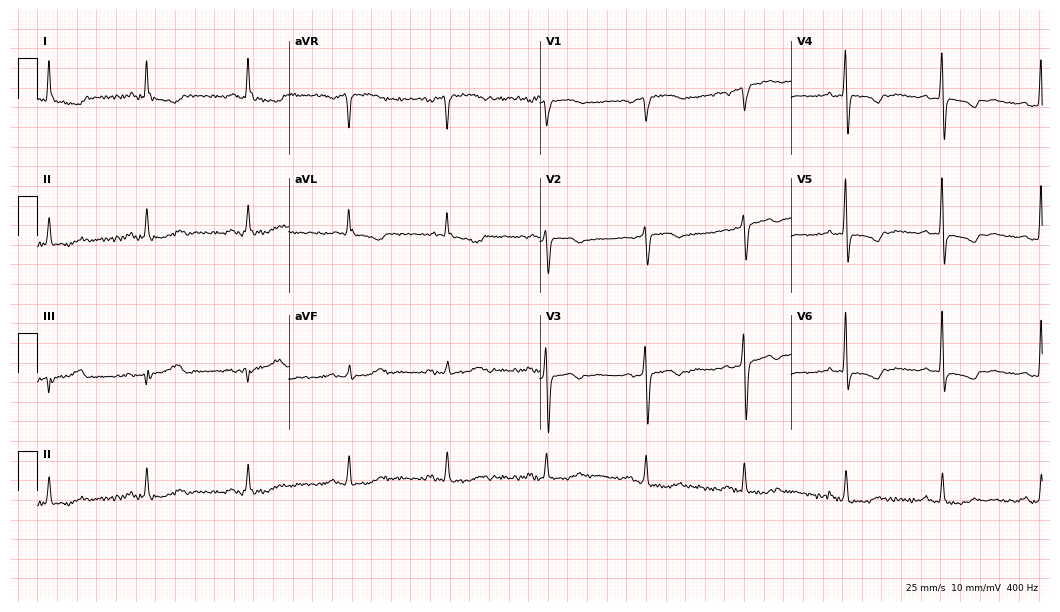
12-lead ECG from a female, 57 years old. Screened for six findings — first-degree AV block, right bundle branch block (RBBB), left bundle branch block (LBBB), sinus bradycardia, atrial fibrillation (AF), sinus tachycardia — none is recorded. Only these six findings were labelled.